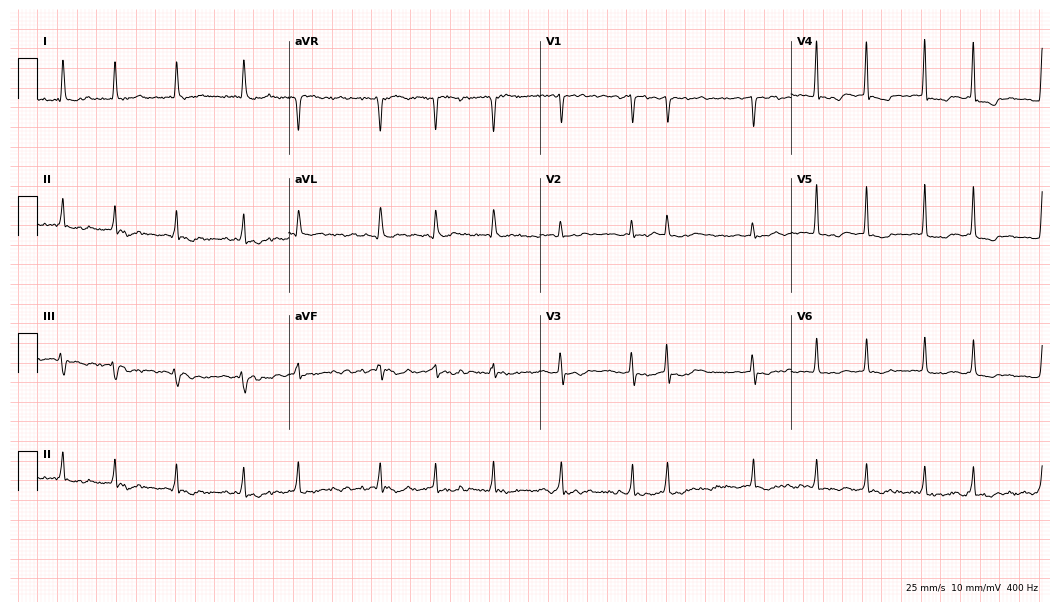
Standard 12-lead ECG recorded from a 75-year-old female (10.2-second recording at 400 Hz). The tracing shows atrial fibrillation.